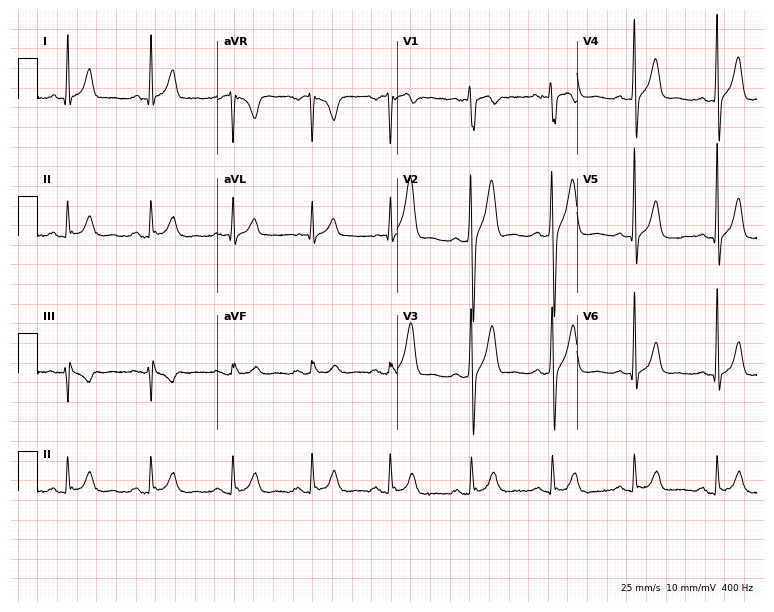
Electrocardiogram (7.3-second recording at 400 Hz), a 44-year-old man. Overall reading on record: normal ECG.